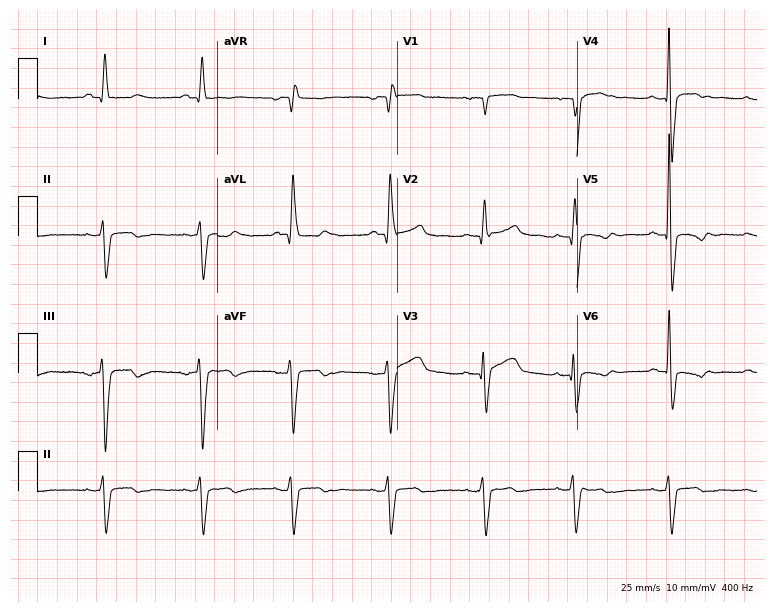
Standard 12-lead ECG recorded from an 80-year-old male (7.3-second recording at 400 Hz). The tracing shows right bundle branch block.